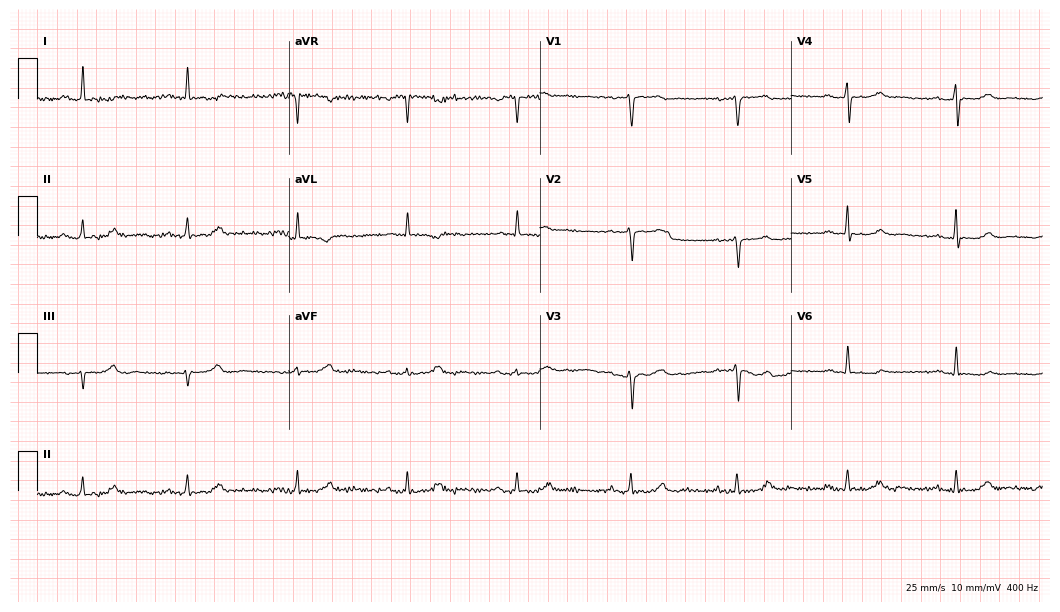
Resting 12-lead electrocardiogram (10.2-second recording at 400 Hz). Patient: a 64-year-old woman. None of these six findings is recorded: first-degree AV block, right bundle branch block, left bundle branch block, sinus bradycardia, atrial fibrillation, sinus tachycardia.